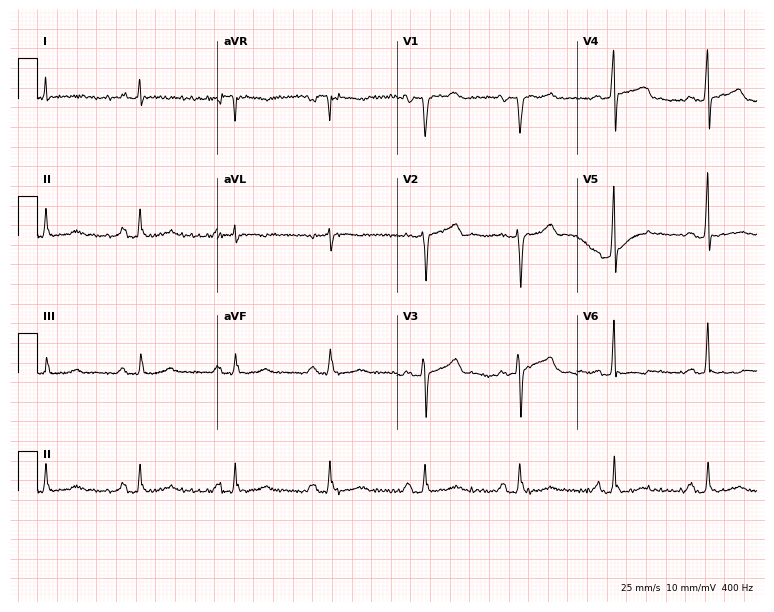
Resting 12-lead electrocardiogram. Patient: a male, 47 years old. Read as a normal ECG.